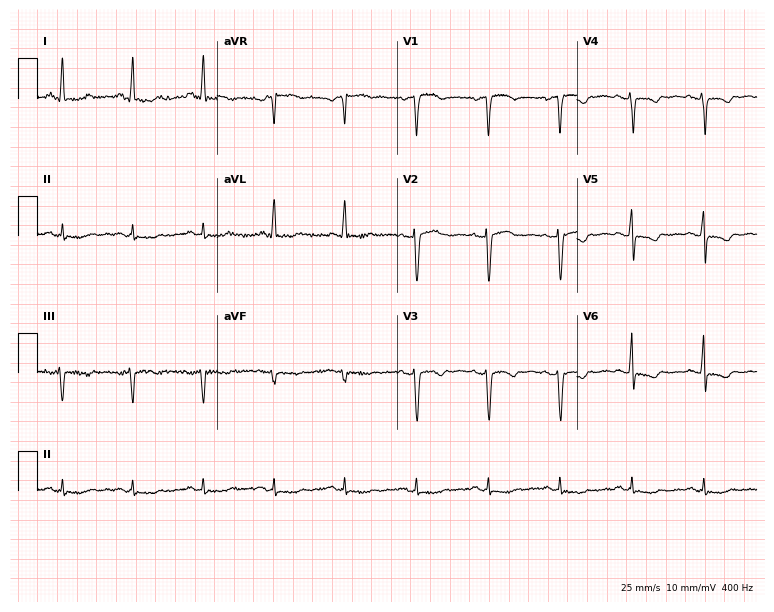
12-lead ECG from a woman, 52 years old (7.3-second recording at 400 Hz). No first-degree AV block, right bundle branch block, left bundle branch block, sinus bradycardia, atrial fibrillation or sinus tachycardia recorded for this tracing.